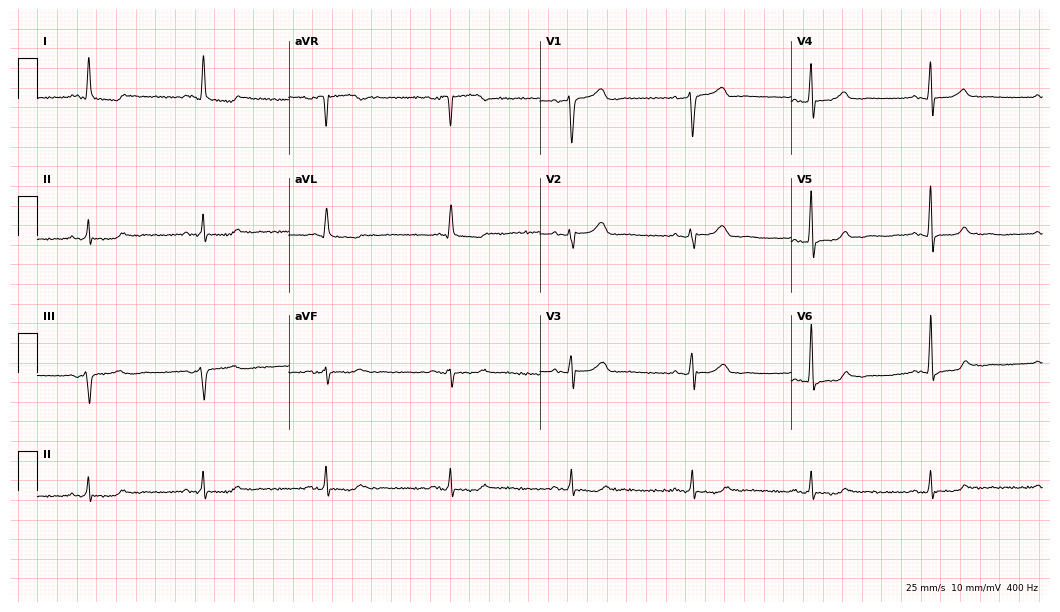
12-lead ECG from a female, 77 years old. No first-degree AV block, right bundle branch block, left bundle branch block, sinus bradycardia, atrial fibrillation or sinus tachycardia recorded for this tracing. Findings outside these six are not listed.